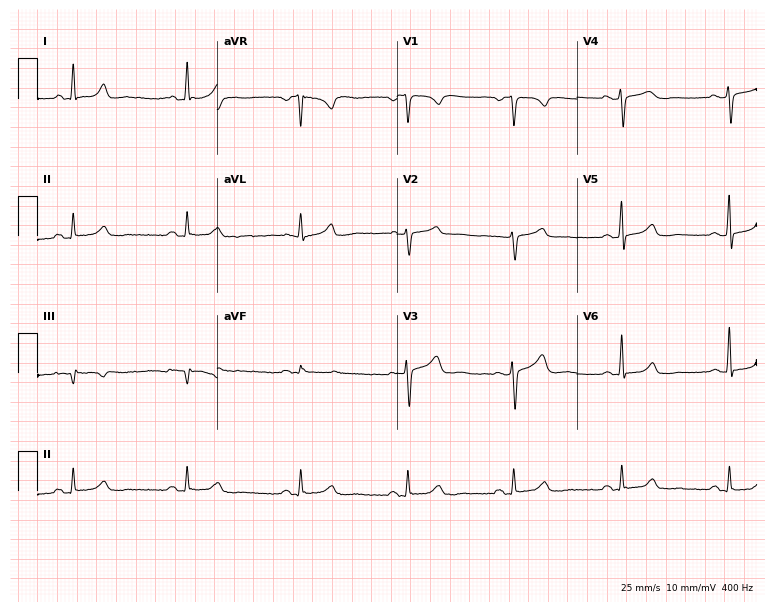
Resting 12-lead electrocardiogram. Patient: a female, 56 years old. None of these six findings is recorded: first-degree AV block, right bundle branch block, left bundle branch block, sinus bradycardia, atrial fibrillation, sinus tachycardia. Only these six findings were labelled.